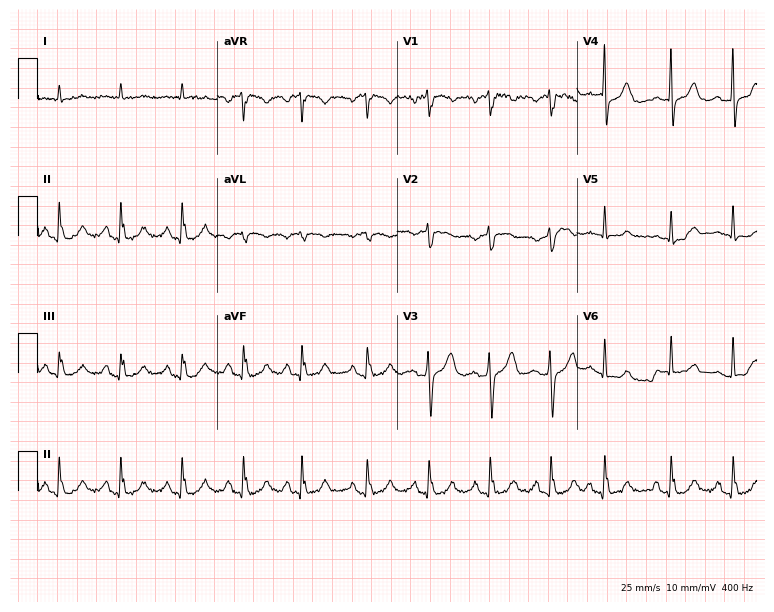
Standard 12-lead ECG recorded from an 84-year-old male. None of these six findings is recorded: first-degree AV block, right bundle branch block, left bundle branch block, sinus bradycardia, atrial fibrillation, sinus tachycardia.